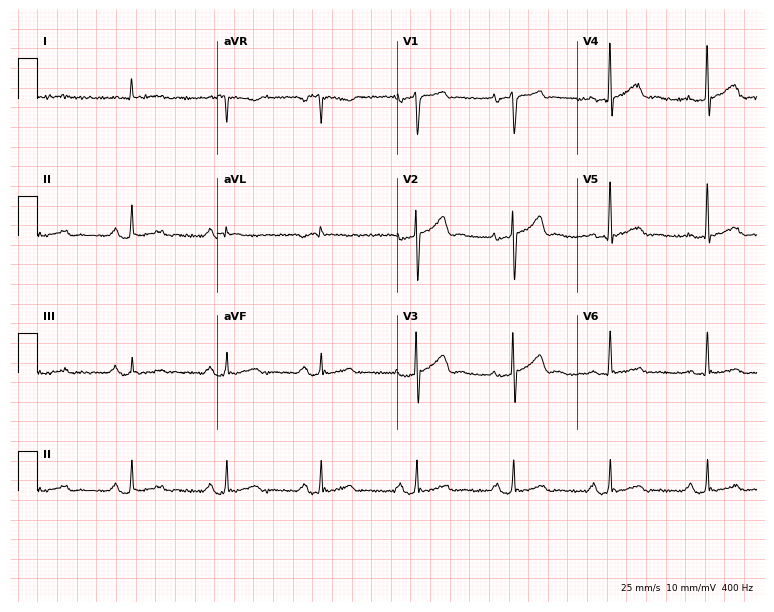
Resting 12-lead electrocardiogram. Patient: a 67-year-old male. None of these six findings is recorded: first-degree AV block, right bundle branch block (RBBB), left bundle branch block (LBBB), sinus bradycardia, atrial fibrillation (AF), sinus tachycardia.